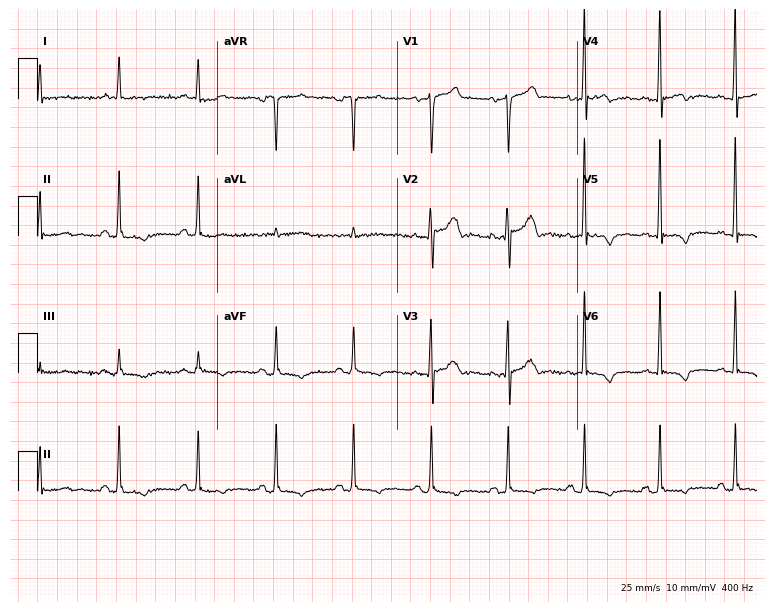
12-lead ECG from a 67-year-old woman. No first-degree AV block, right bundle branch block, left bundle branch block, sinus bradycardia, atrial fibrillation or sinus tachycardia recorded for this tracing. Other findings, if any, are not listed.